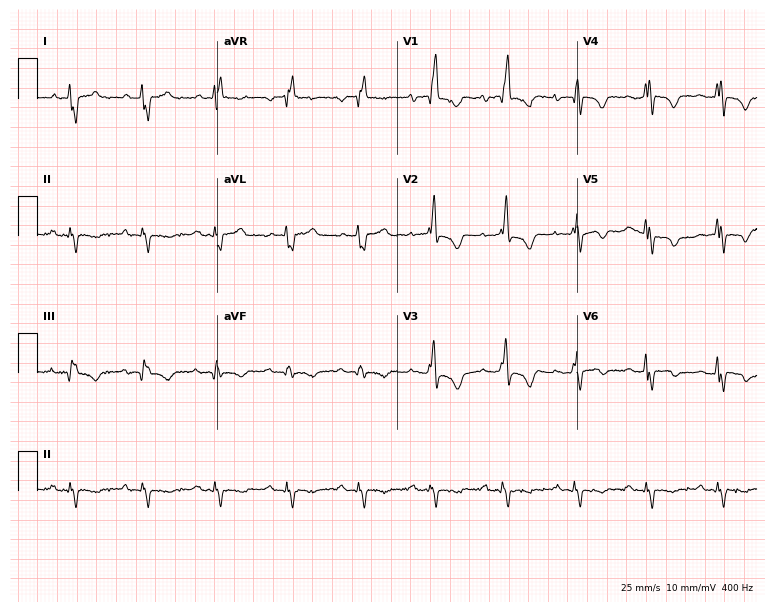
Standard 12-lead ECG recorded from a male, 67 years old (7.3-second recording at 400 Hz). The tracing shows right bundle branch block.